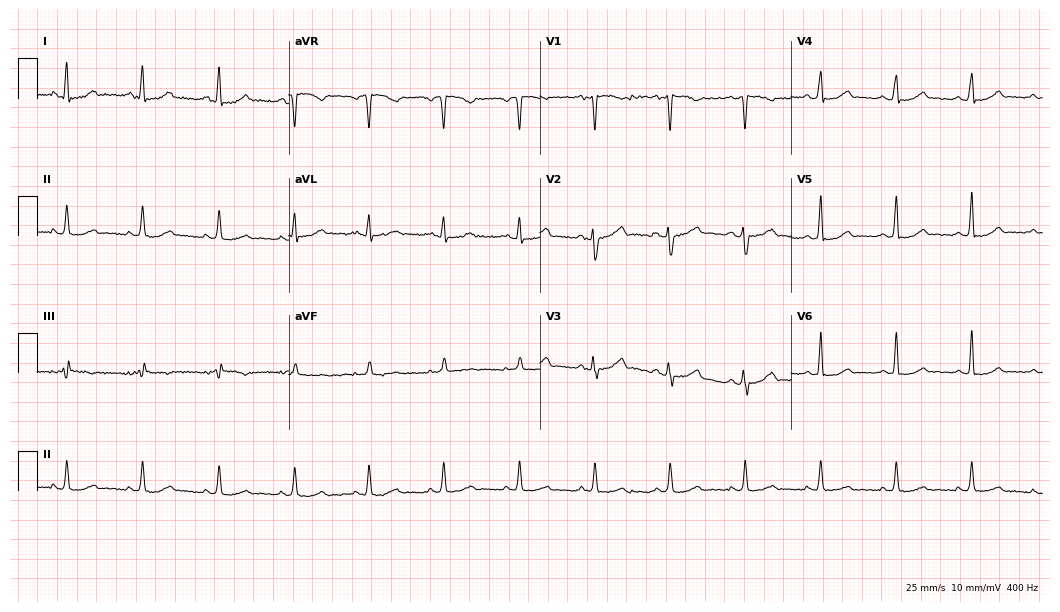
12-lead ECG from a female patient, 45 years old (10.2-second recording at 400 Hz). Recorded interpretation: within normal limits.